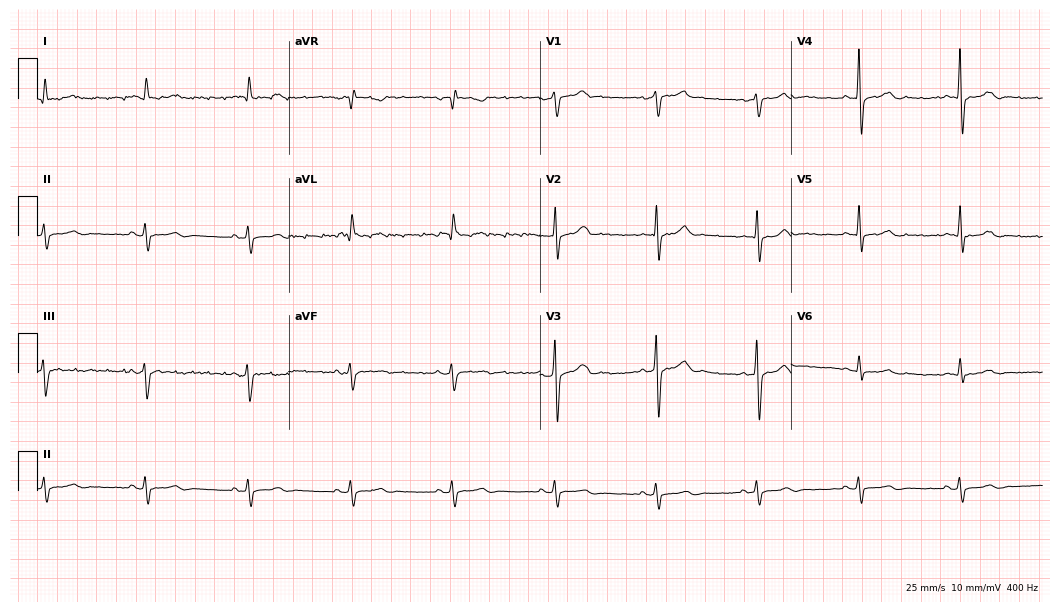
Standard 12-lead ECG recorded from an 82-year-old man. None of these six findings is recorded: first-degree AV block, right bundle branch block (RBBB), left bundle branch block (LBBB), sinus bradycardia, atrial fibrillation (AF), sinus tachycardia. Other findings, if any, are not listed.